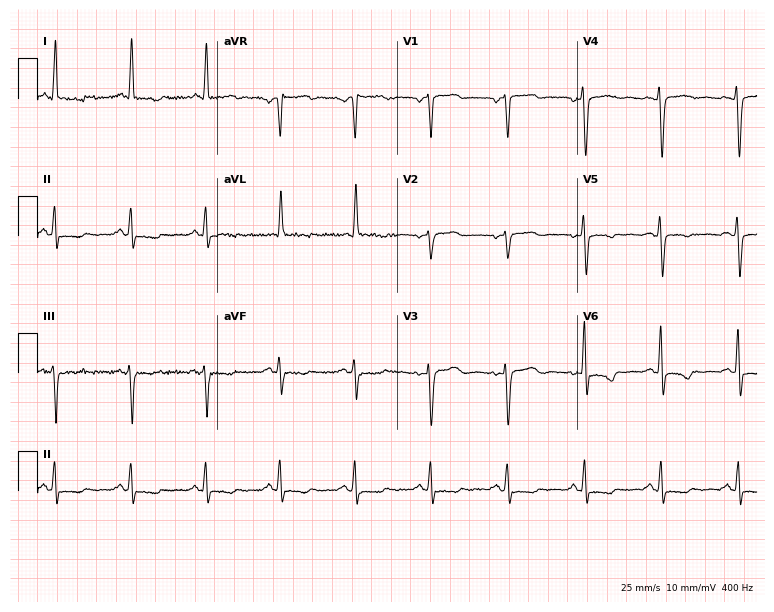
Electrocardiogram (7.3-second recording at 400 Hz), a female patient, 71 years old. Of the six screened findings (first-degree AV block, right bundle branch block, left bundle branch block, sinus bradycardia, atrial fibrillation, sinus tachycardia), none is recorded.